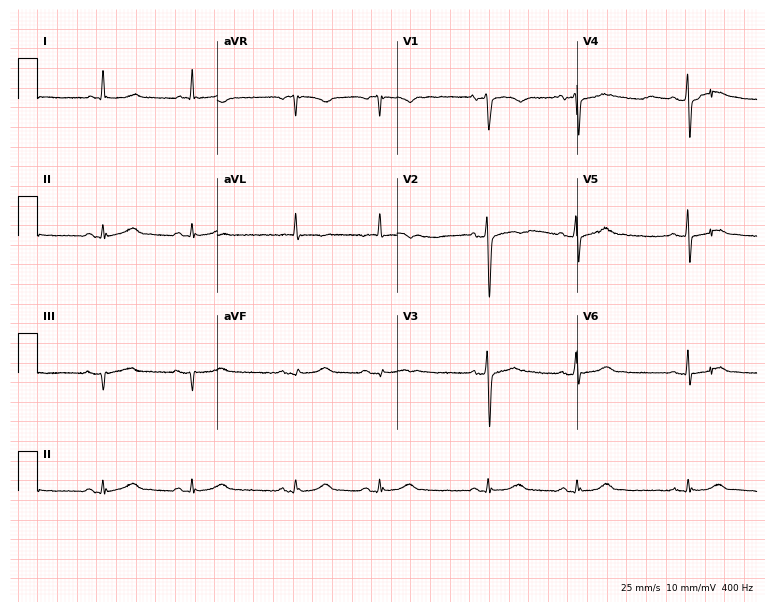
12-lead ECG from a 72-year-old male (7.3-second recording at 400 Hz). No first-degree AV block, right bundle branch block (RBBB), left bundle branch block (LBBB), sinus bradycardia, atrial fibrillation (AF) or sinus tachycardia recorded for this tracing.